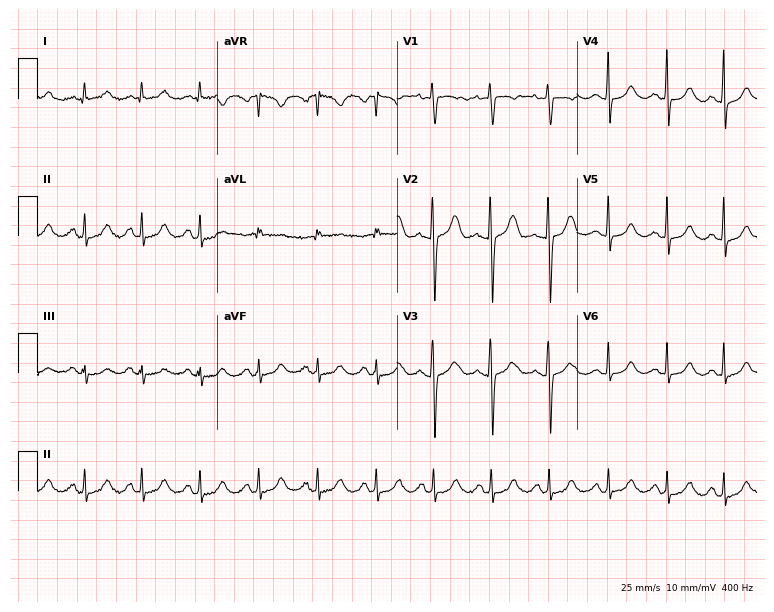
12-lead ECG (7.3-second recording at 400 Hz) from a 27-year-old woman. Findings include sinus tachycardia (a sinus rate of 100 beats per minute or more).